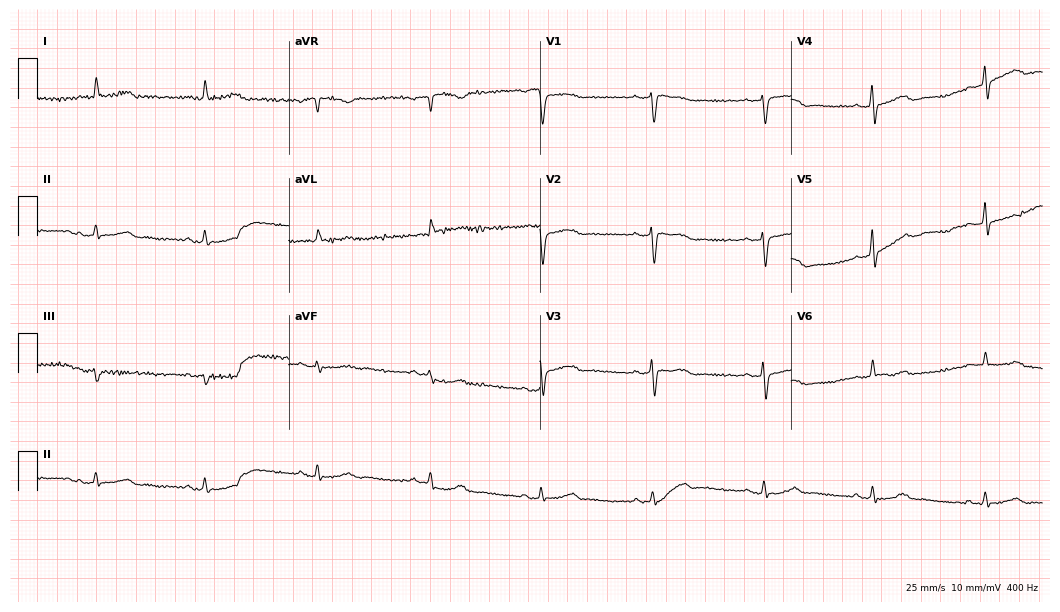
ECG (10.2-second recording at 400 Hz) — a 70-year-old woman. Labelled as a normal ECG.